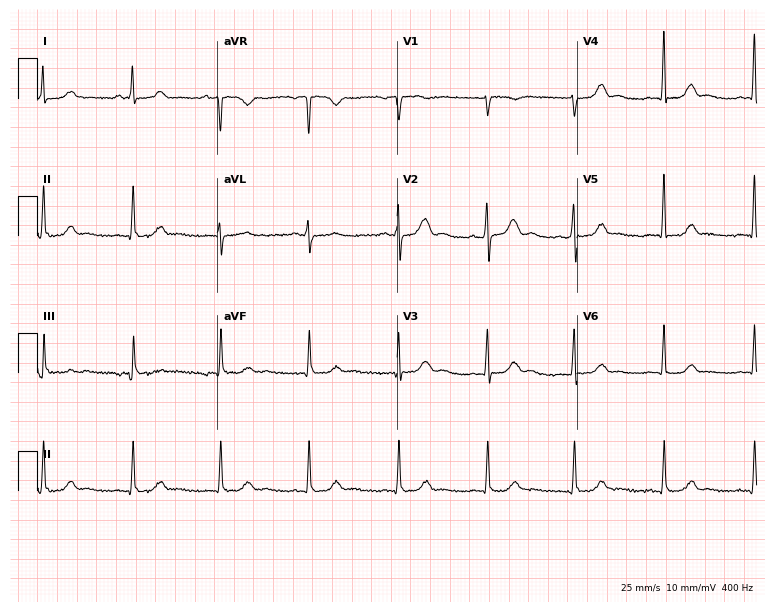
Electrocardiogram (7.3-second recording at 400 Hz), a 54-year-old female patient. Of the six screened findings (first-degree AV block, right bundle branch block, left bundle branch block, sinus bradycardia, atrial fibrillation, sinus tachycardia), none is recorded.